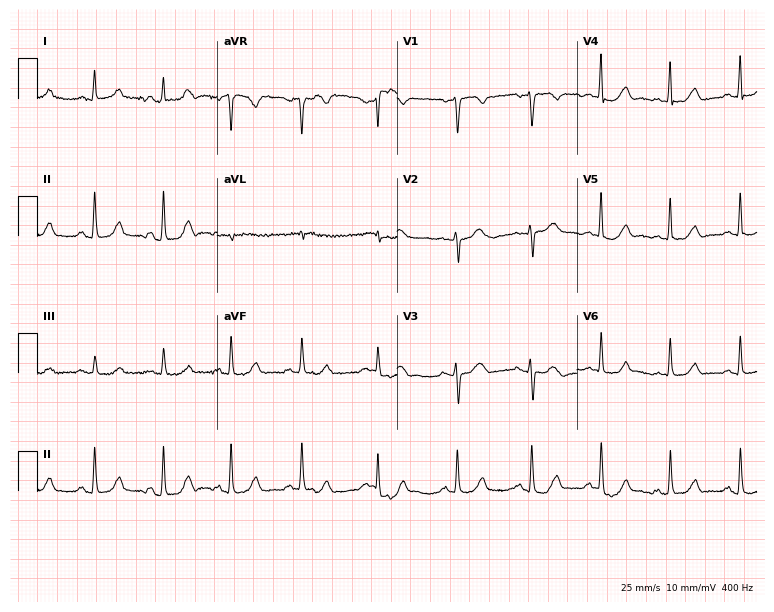
ECG — a 50-year-old woman. Labelled as a normal ECG.